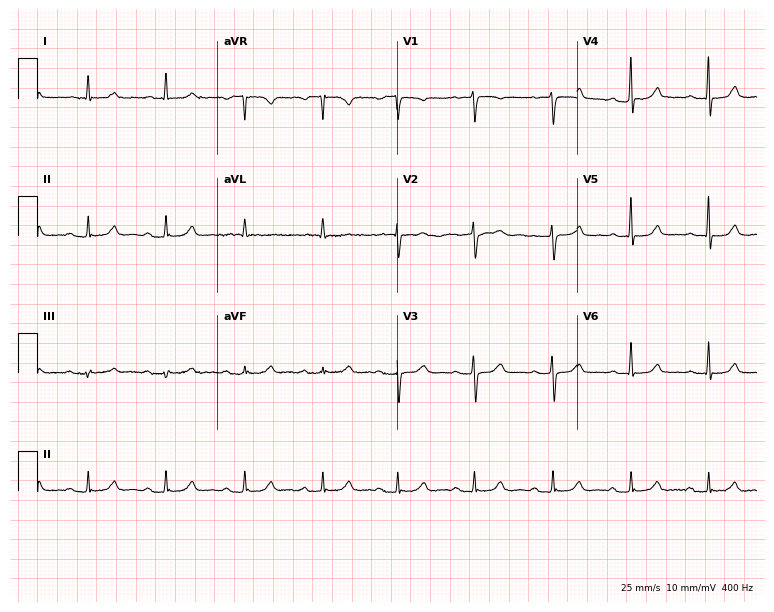
12-lead ECG from a 72-year-old woman. Recorded interpretation: within normal limits.